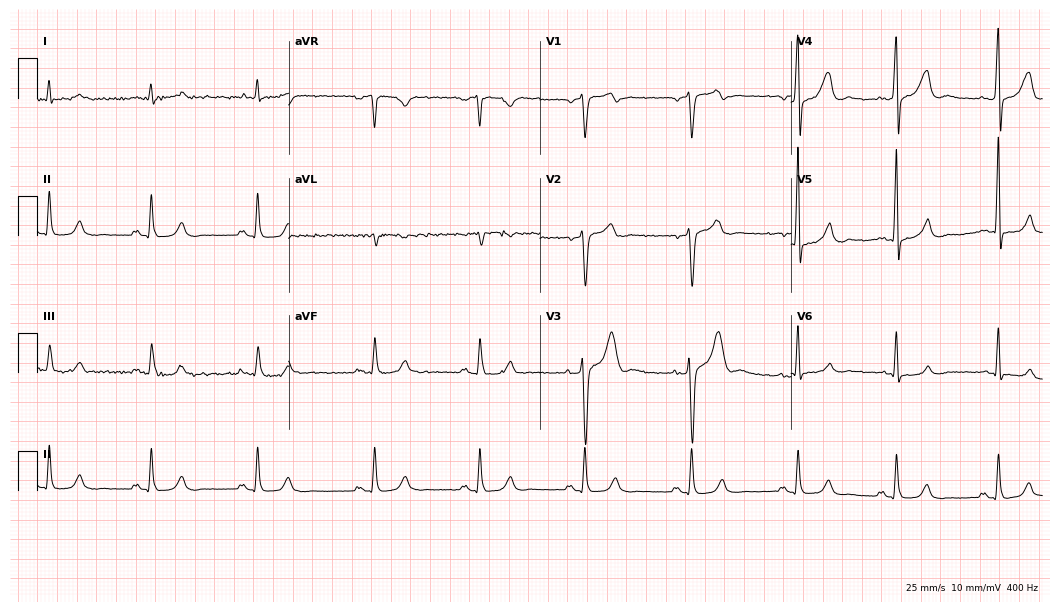
12-lead ECG from a 43-year-old woman. Screened for six findings — first-degree AV block, right bundle branch block, left bundle branch block, sinus bradycardia, atrial fibrillation, sinus tachycardia — none is recorded. Other findings, if any, are not listed.